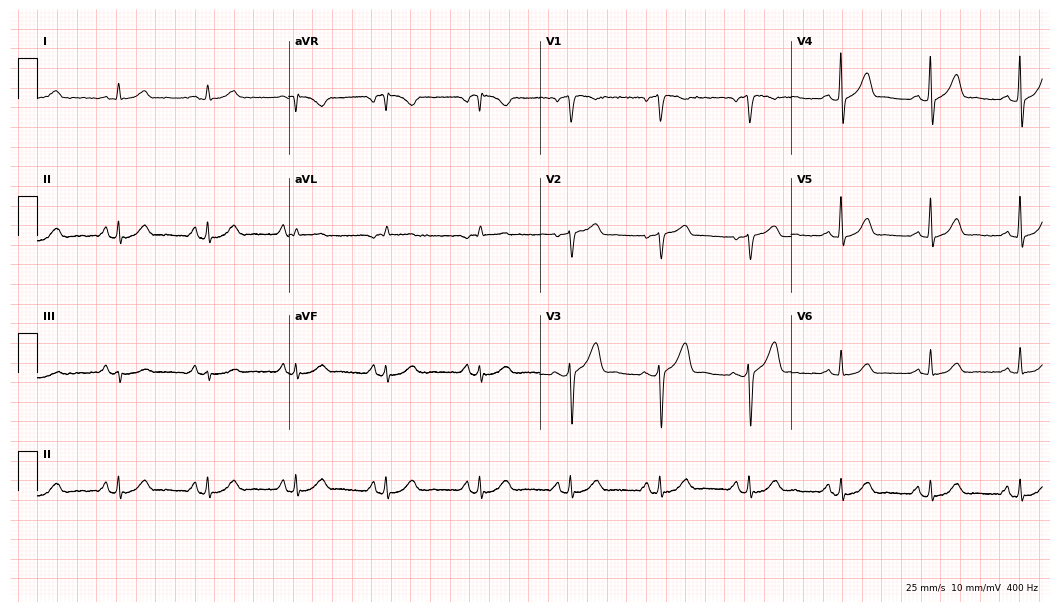
Resting 12-lead electrocardiogram. Patient: a 68-year-old male. Read as a normal ECG.